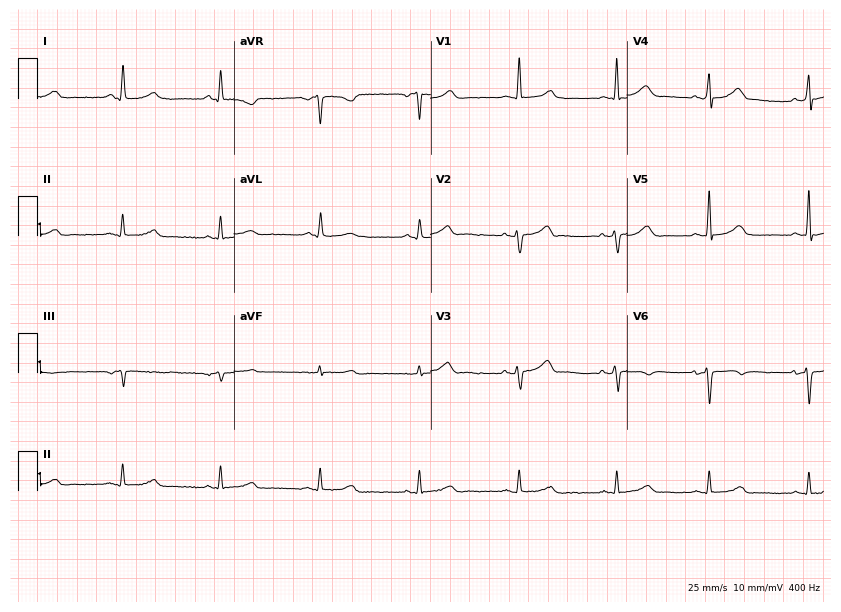
Electrocardiogram (8-second recording at 400 Hz), a 38-year-old female. Of the six screened findings (first-degree AV block, right bundle branch block, left bundle branch block, sinus bradycardia, atrial fibrillation, sinus tachycardia), none is recorded.